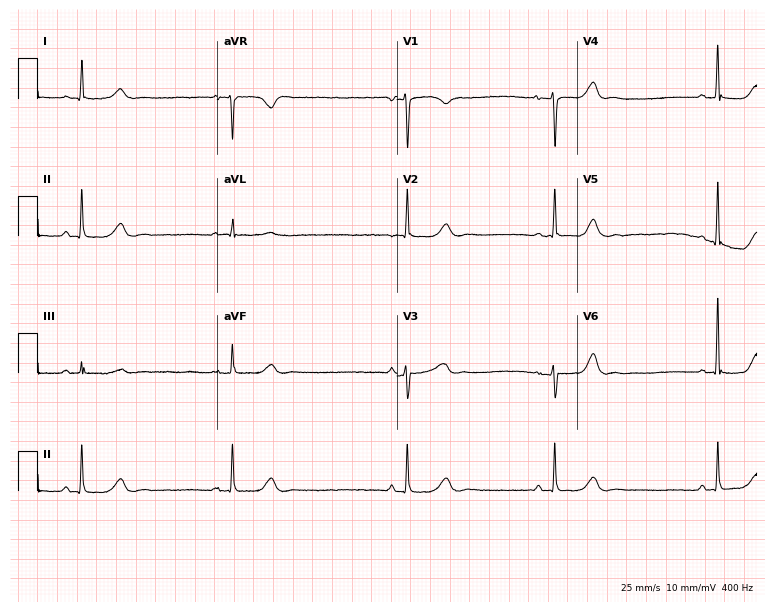
Electrocardiogram, a 32-year-old woman. Of the six screened findings (first-degree AV block, right bundle branch block, left bundle branch block, sinus bradycardia, atrial fibrillation, sinus tachycardia), none is recorded. Findings outside these six are not listed.